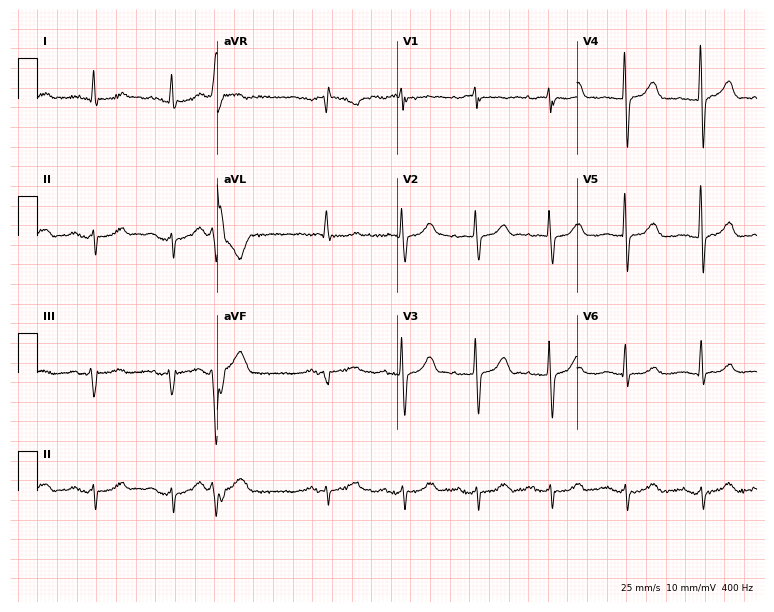
12-lead ECG from a 79-year-old woman. Screened for six findings — first-degree AV block, right bundle branch block (RBBB), left bundle branch block (LBBB), sinus bradycardia, atrial fibrillation (AF), sinus tachycardia — none is recorded. Other findings, if any, are not listed.